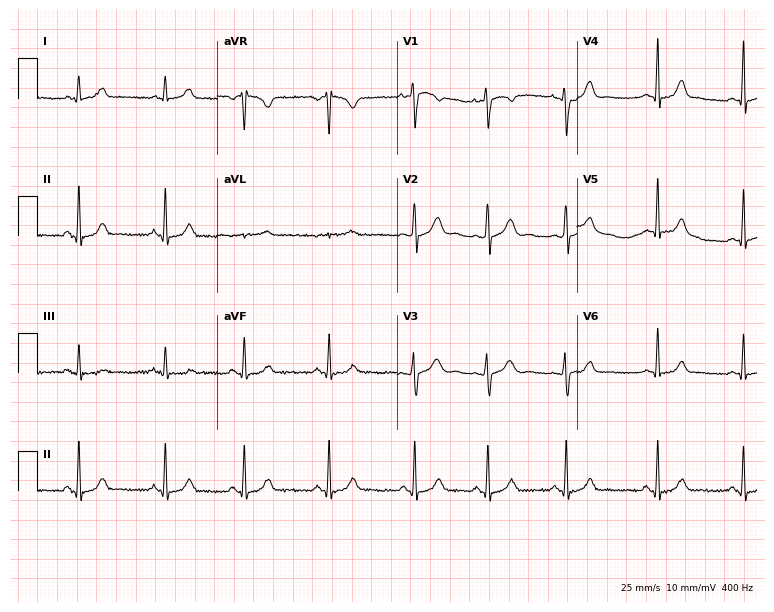
ECG (7.3-second recording at 400 Hz) — a female patient, 29 years old. Screened for six findings — first-degree AV block, right bundle branch block, left bundle branch block, sinus bradycardia, atrial fibrillation, sinus tachycardia — none is recorded.